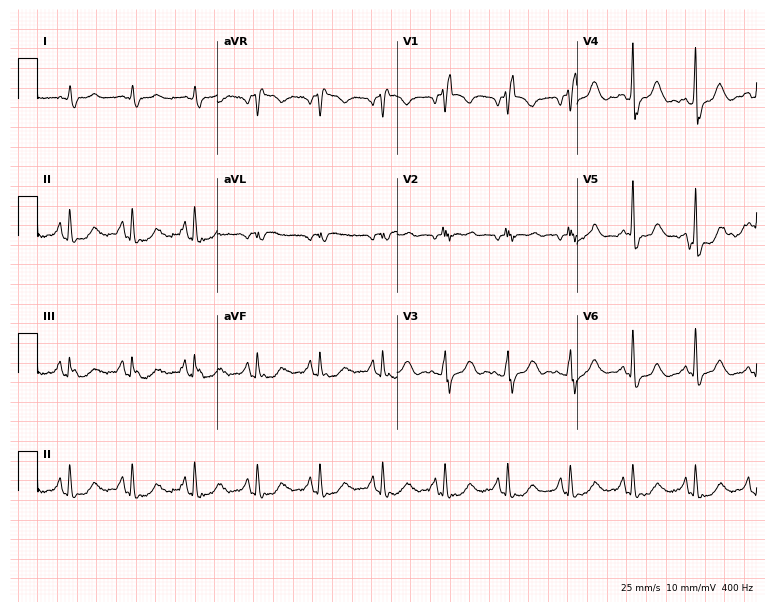
Electrocardiogram, a male patient, 81 years old. Interpretation includes right bundle branch block.